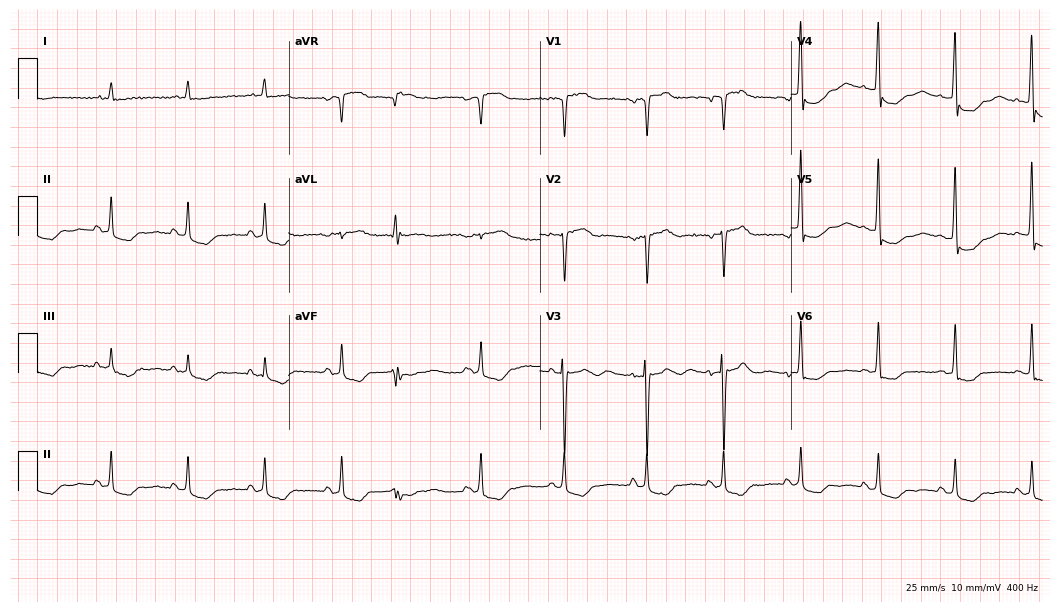
ECG — a female, 75 years old. Screened for six findings — first-degree AV block, right bundle branch block, left bundle branch block, sinus bradycardia, atrial fibrillation, sinus tachycardia — none is recorded.